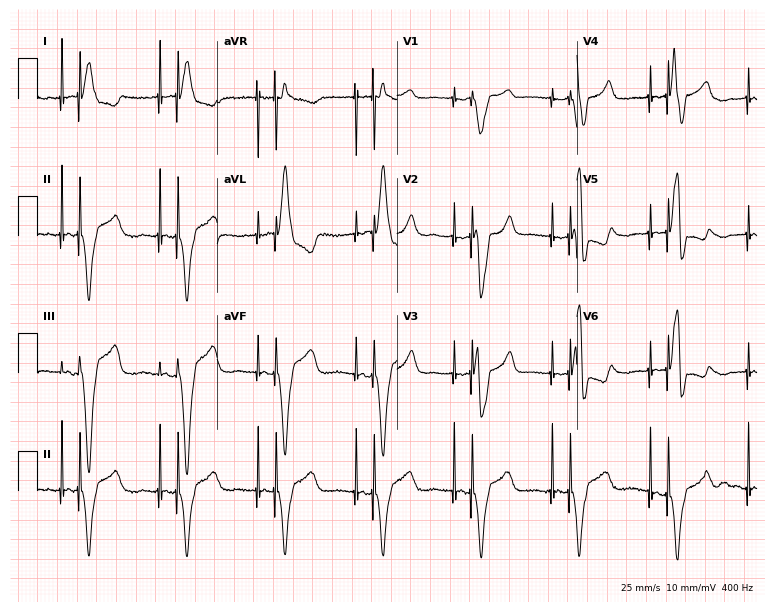
12-lead ECG from a female patient, 71 years old. No first-degree AV block, right bundle branch block, left bundle branch block, sinus bradycardia, atrial fibrillation or sinus tachycardia recorded for this tracing.